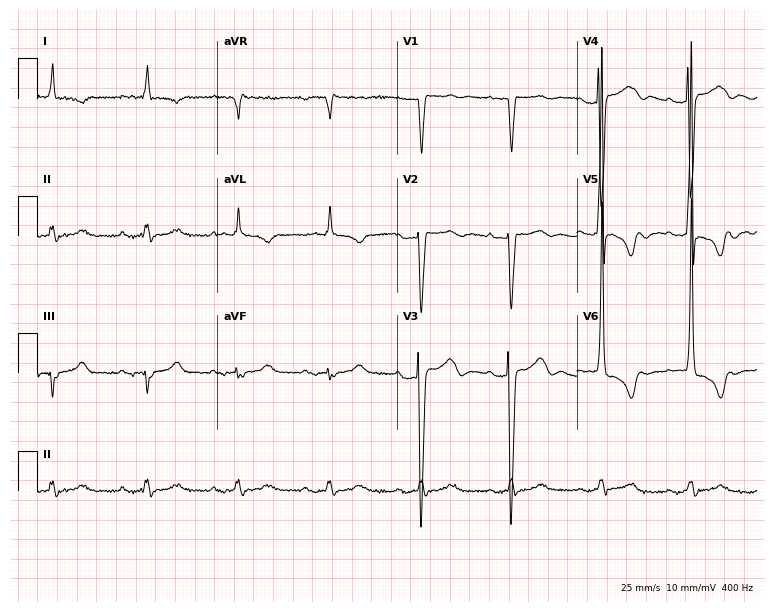
12-lead ECG from a male patient, 79 years old (7.3-second recording at 400 Hz). Shows first-degree AV block.